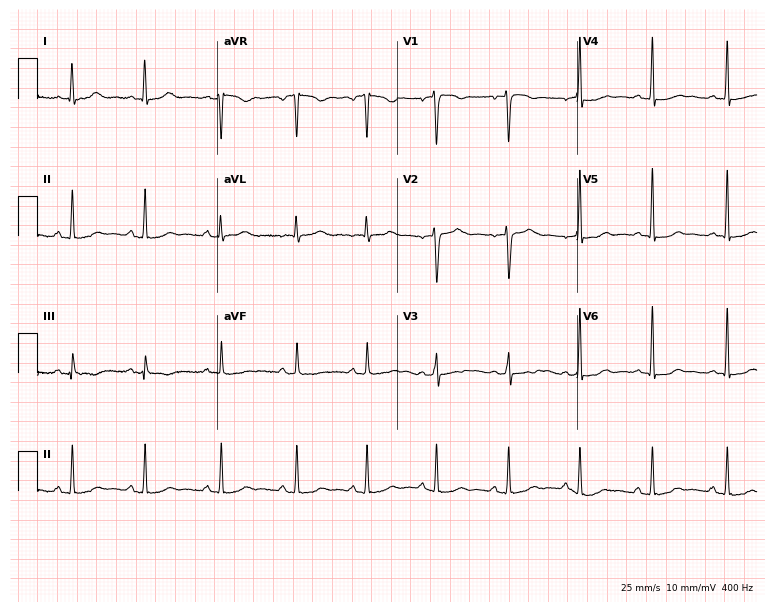
Electrocardiogram (7.3-second recording at 400 Hz), a 17-year-old female. Of the six screened findings (first-degree AV block, right bundle branch block (RBBB), left bundle branch block (LBBB), sinus bradycardia, atrial fibrillation (AF), sinus tachycardia), none is recorded. Only these six findings were labelled.